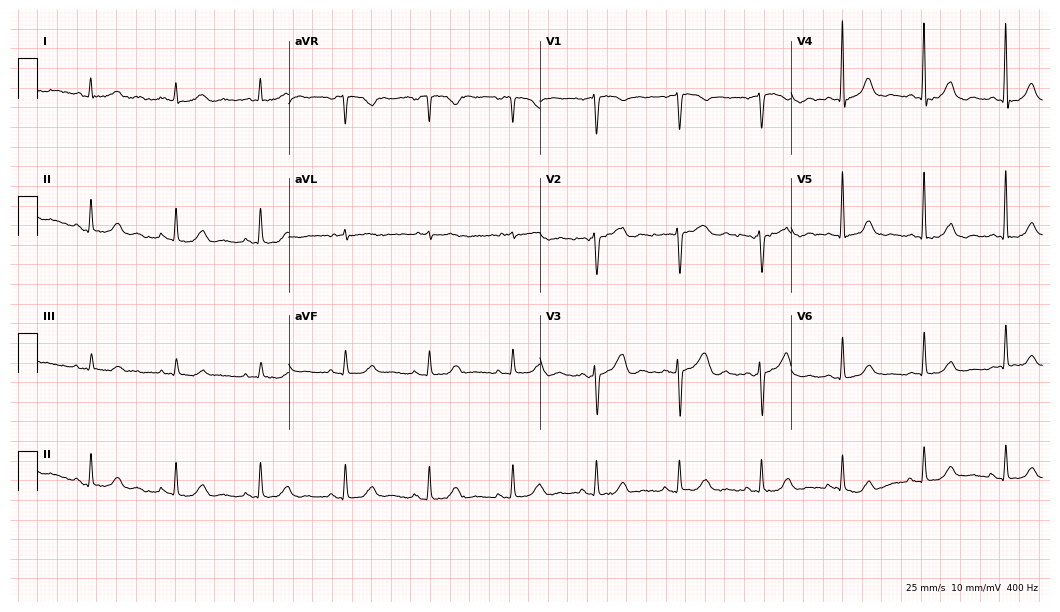
12-lead ECG (10.2-second recording at 400 Hz) from a female patient, 81 years old. Screened for six findings — first-degree AV block, right bundle branch block, left bundle branch block, sinus bradycardia, atrial fibrillation, sinus tachycardia — none is recorded.